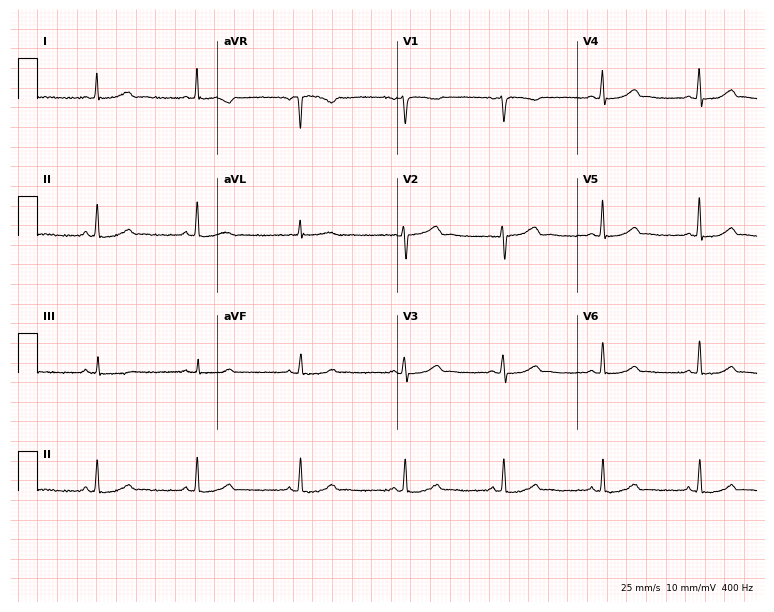
12-lead ECG from a 42-year-old woman. Screened for six findings — first-degree AV block, right bundle branch block, left bundle branch block, sinus bradycardia, atrial fibrillation, sinus tachycardia — none is recorded. Other findings, if any, are not listed.